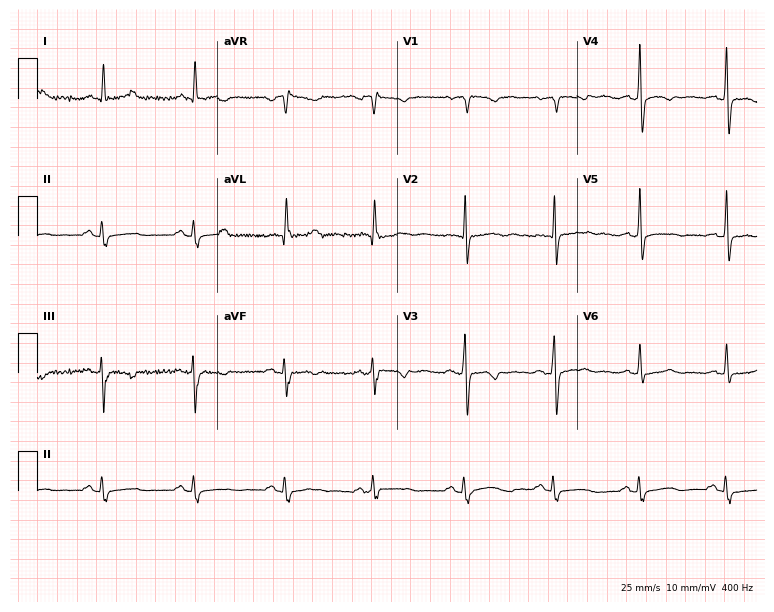
12-lead ECG from a 54-year-old female. No first-degree AV block, right bundle branch block (RBBB), left bundle branch block (LBBB), sinus bradycardia, atrial fibrillation (AF) or sinus tachycardia recorded for this tracing.